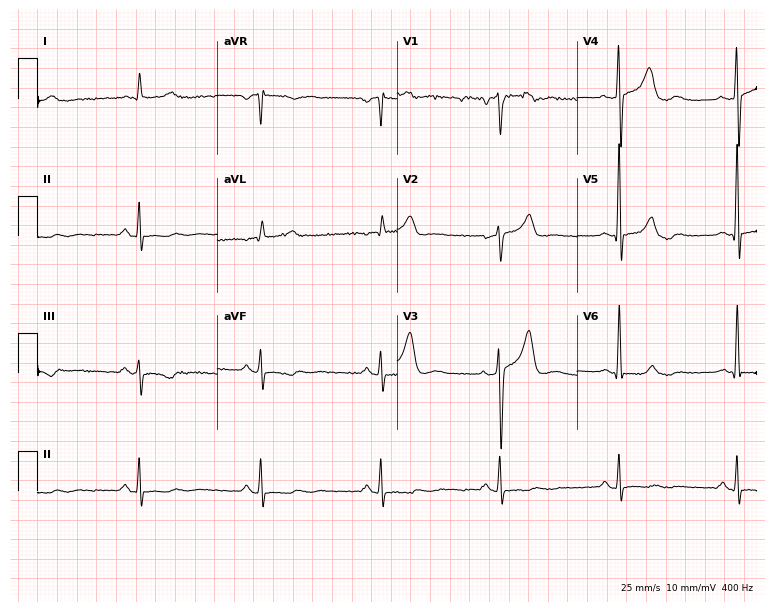
Electrocardiogram, a 45-year-old male. Of the six screened findings (first-degree AV block, right bundle branch block (RBBB), left bundle branch block (LBBB), sinus bradycardia, atrial fibrillation (AF), sinus tachycardia), none is recorded.